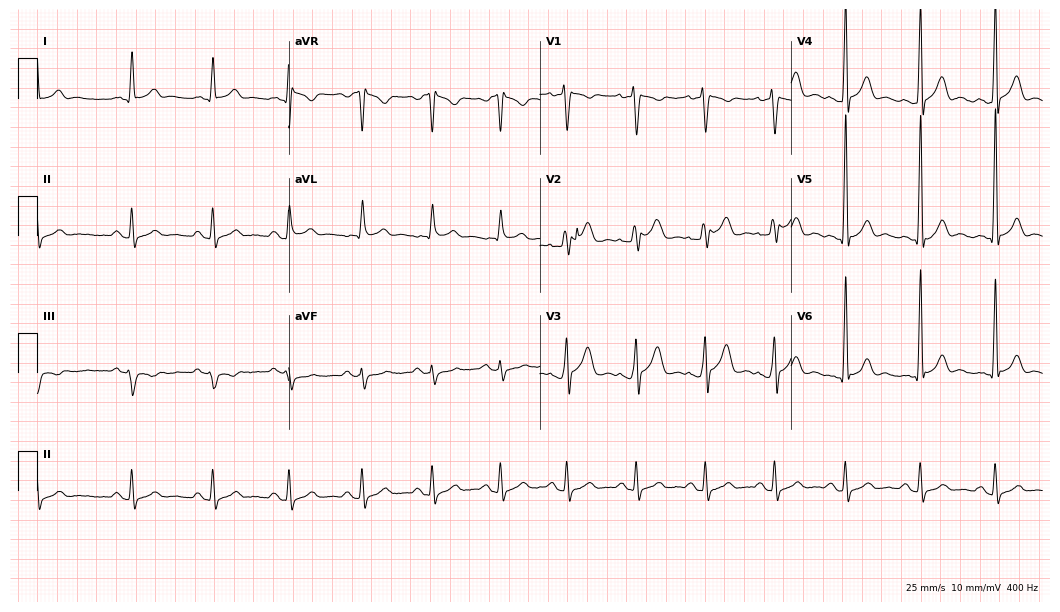
Standard 12-lead ECG recorded from a male, 50 years old (10.2-second recording at 400 Hz). None of these six findings is recorded: first-degree AV block, right bundle branch block (RBBB), left bundle branch block (LBBB), sinus bradycardia, atrial fibrillation (AF), sinus tachycardia.